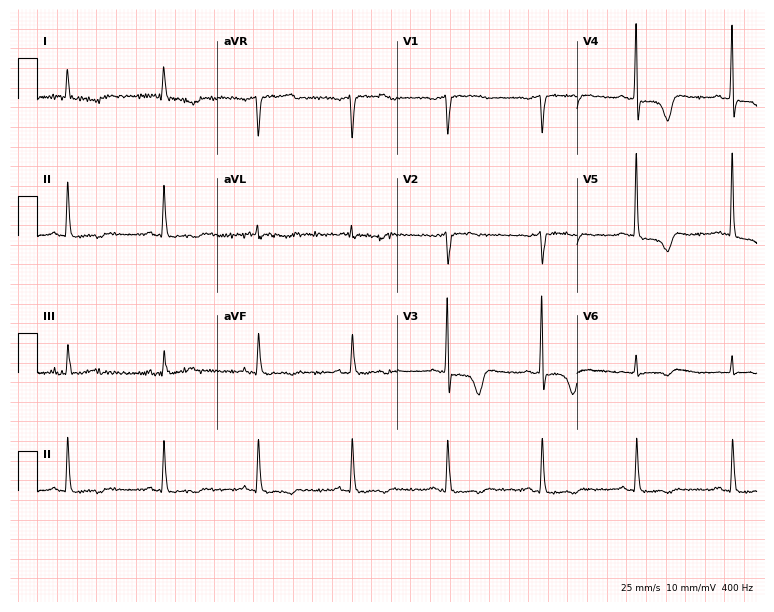
Standard 12-lead ECG recorded from a 76-year-old female. None of these six findings is recorded: first-degree AV block, right bundle branch block, left bundle branch block, sinus bradycardia, atrial fibrillation, sinus tachycardia.